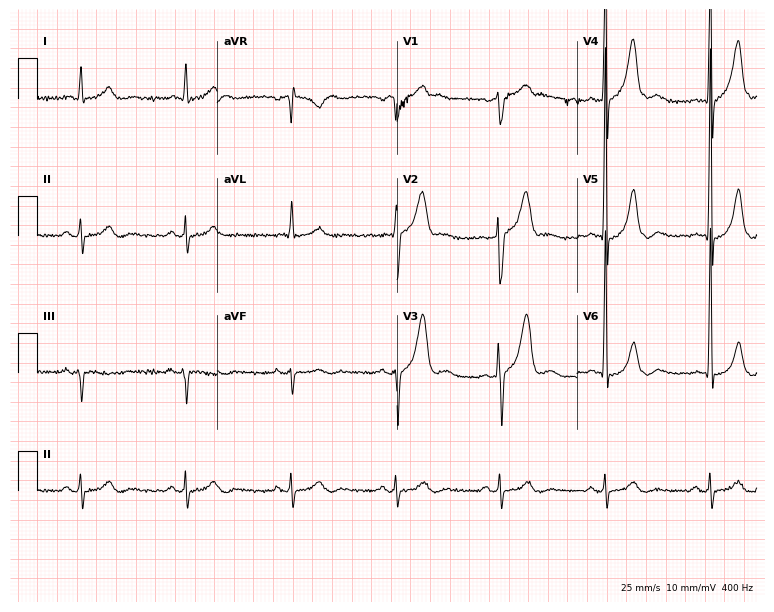
12-lead ECG from a male, 63 years old. Screened for six findings — first-degree AV block, right bundle branch block, left bundle branch block, sinus bradycardia, atrial fibrillation, sinus tachycardia — none is recorded.